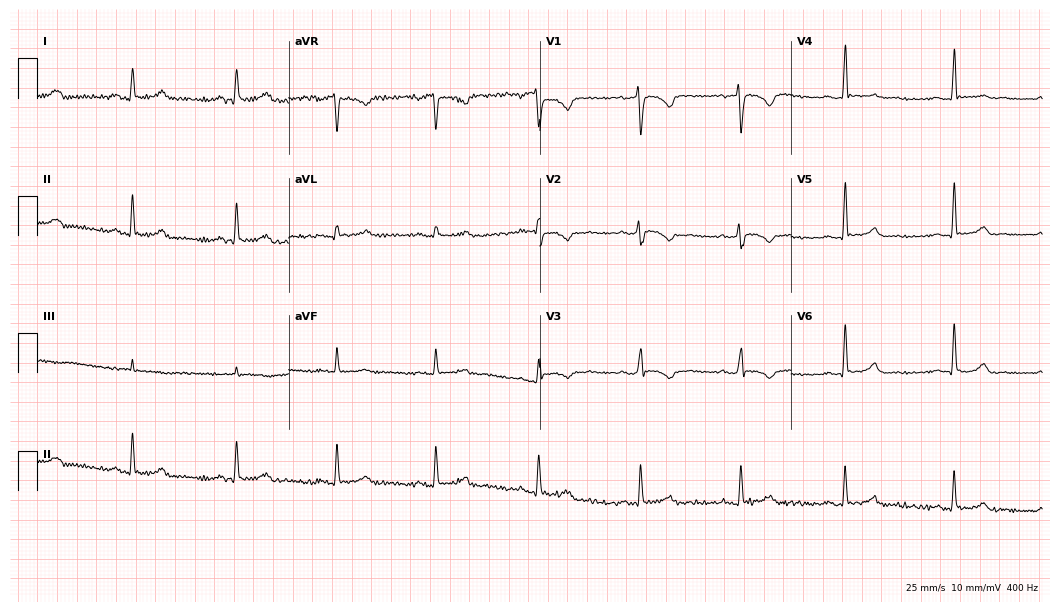
Standard 12-lead ECG recorded from a female patient, 45 years old (10.2-second recording at 400 Hz). None of these six findings is recorded: first-degree AV block, right bundle branch block (RBBB), left bundle branch block (LBBB), sinus bradycardia, atrial fibrillation (AF), sinus tachycardia.